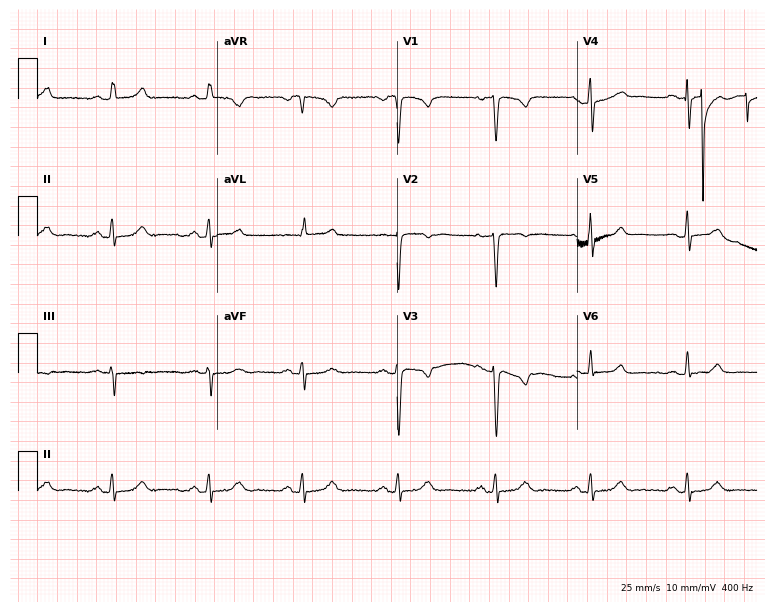
Electrocardiogram (7.3-second recording at 400 Hz), a female, 66 years old. Of the six screened findings (first-degree AV block, right bundle branch block, left bundle branch block, sinus bradycardia, atrial fibrillation, sinus tachycardia), none is recorded.